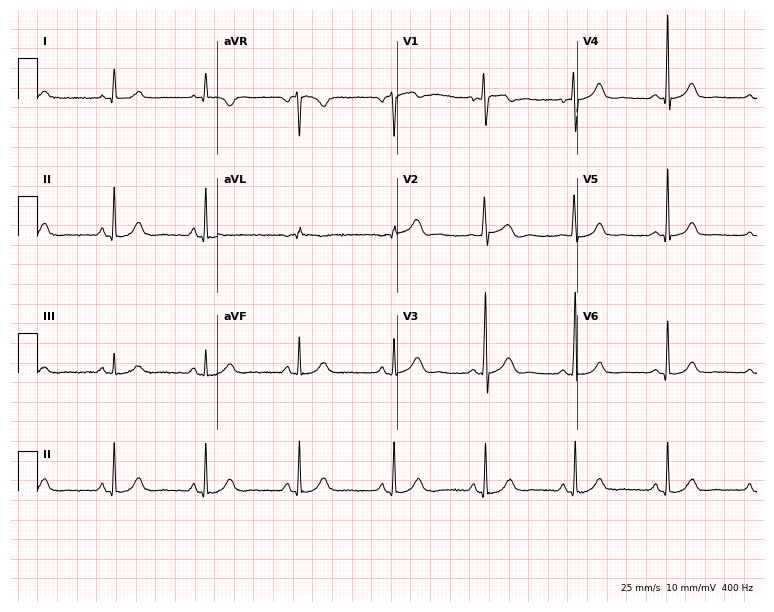
12-lead ECG from a 49-year-old woman (7.3-second recording at 400 Hz). No first-degree AV block, right bundle branch block, left bundle branch block, sinus bradycardia, atrial fibrillation or sinus tachycardia recorded for this tracing.